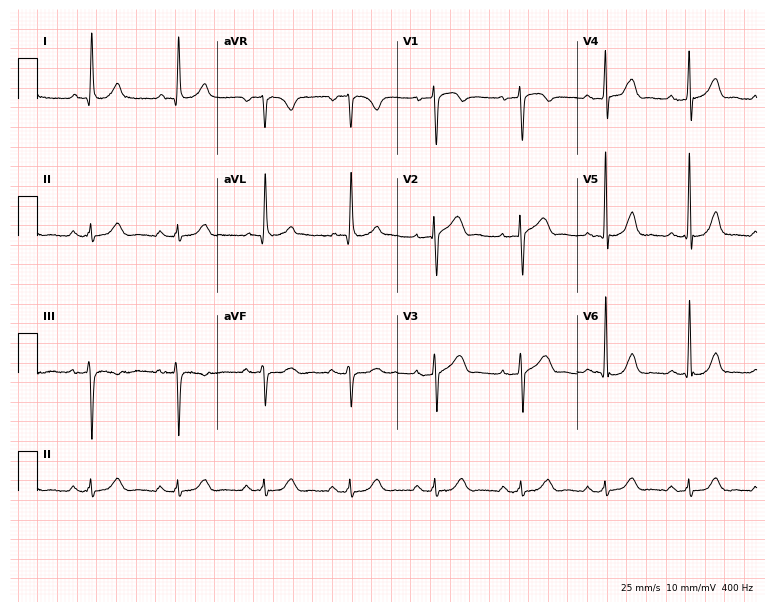
Electrocardiogram, a male, 64 years old. Overall reading on record: normal ECG.